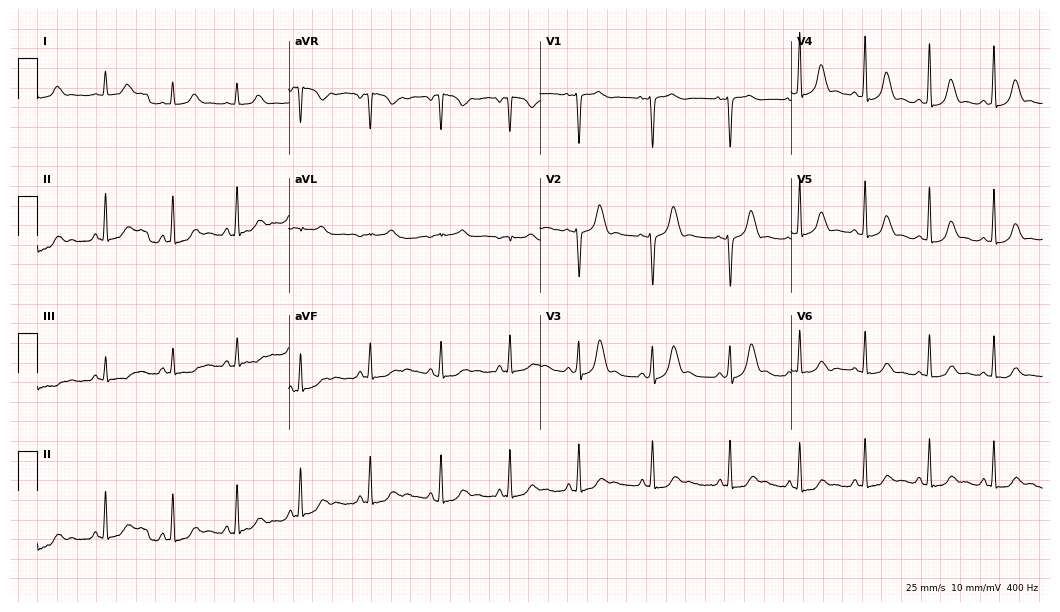
12-lead ECG from a 27-year-old woman. Screened for six findings — first-degree AV block, right bundle branch block, left bundle branch block, sinus bradycardia, atrial fibrillation, sinus tachycardia — none is recorded.